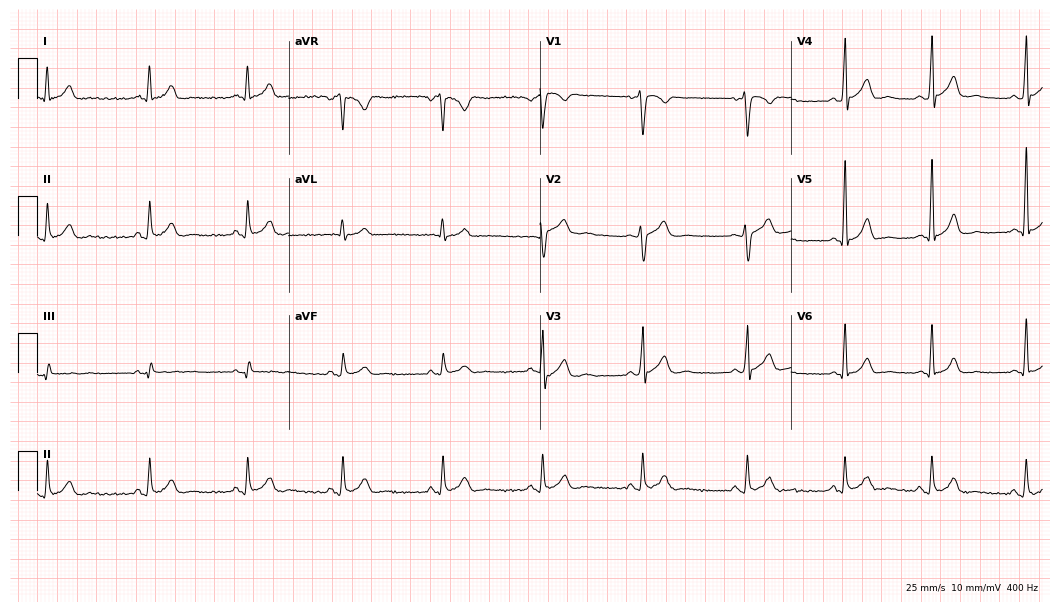
ECG — a 26-year-old male. Screened for six findings — first-degree AV block, right bundle branch block, left bundle branch block, sinus bradycardia, atrial fibrillation, sinus tachycardia — none is recorded.